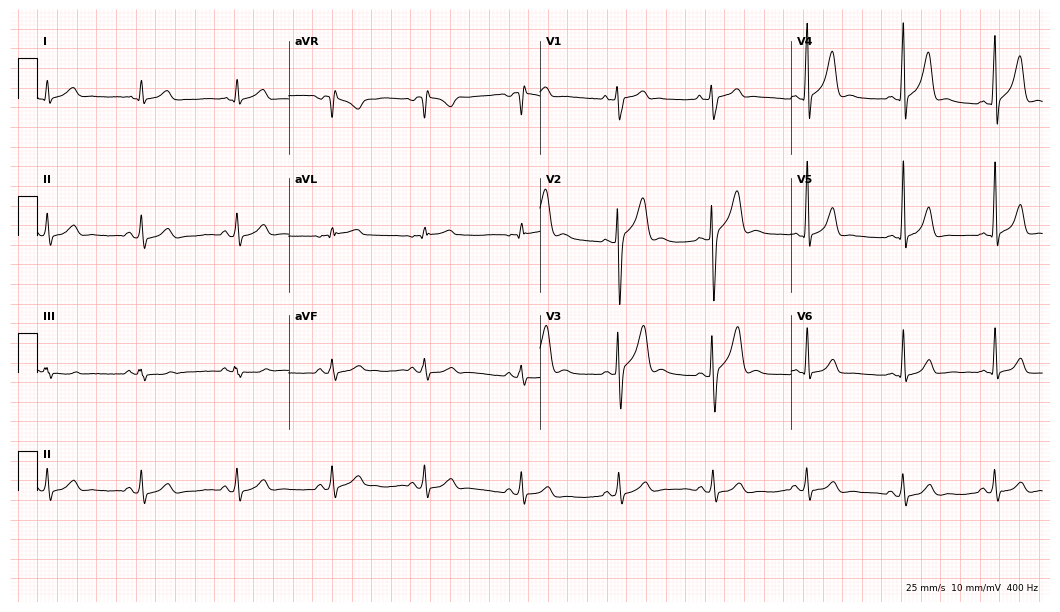
Electrocardiogram (10.2-second recording at 400 Hz), a male, 22 years old. Of the six screened findings (first-degree AV block, right bundle branch block, left bundle branch block, sinus bradycardia, atrial fibrillation, sinus tachycardia), none is recorded. Findings outside these six are not listed.